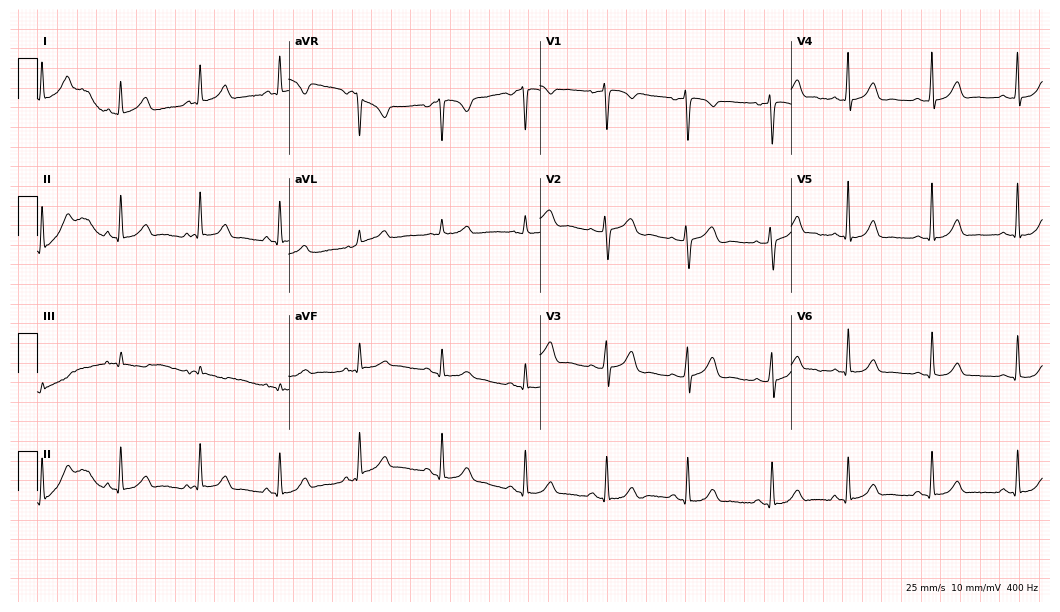
12-lead ECG (10.2-second recording at 400 Hz) from a 43-year-old woman. Screened for six findings — first-degree AV block, right bundle branch block, left bundle branch block, sinus bradycardia, atrial fibrillation, sinus tachycardia — none is recorded. Only these six findings were labelled.